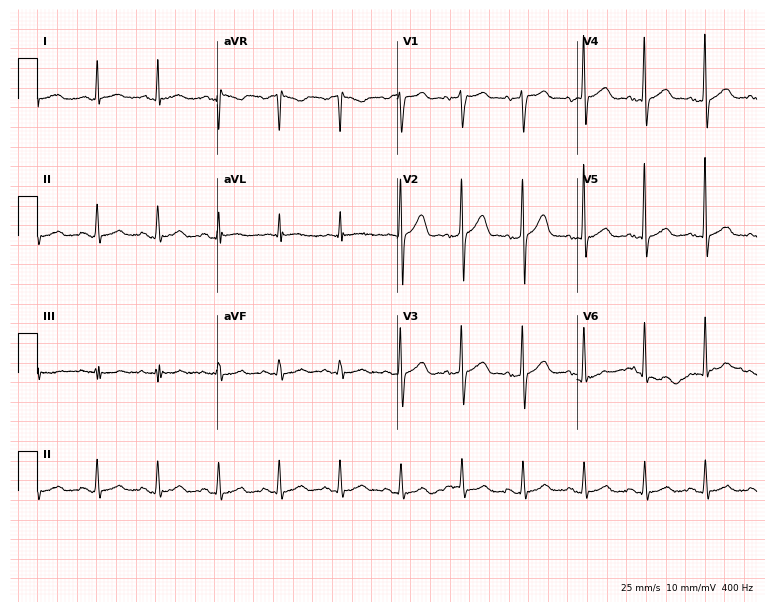
Standard 12-lead ECG recorded from a 60-year-old man (7.3-second recording at 400 Hz). Read as a normal ECG.